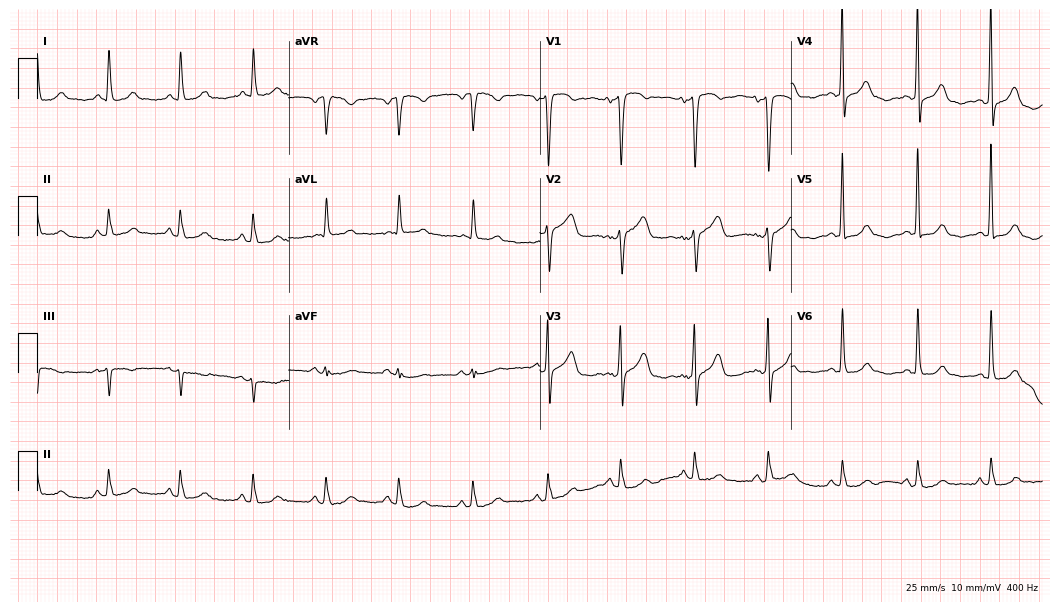
12-lead ECG from a 67-year-old female. Recorded interpretation: within normal limits.